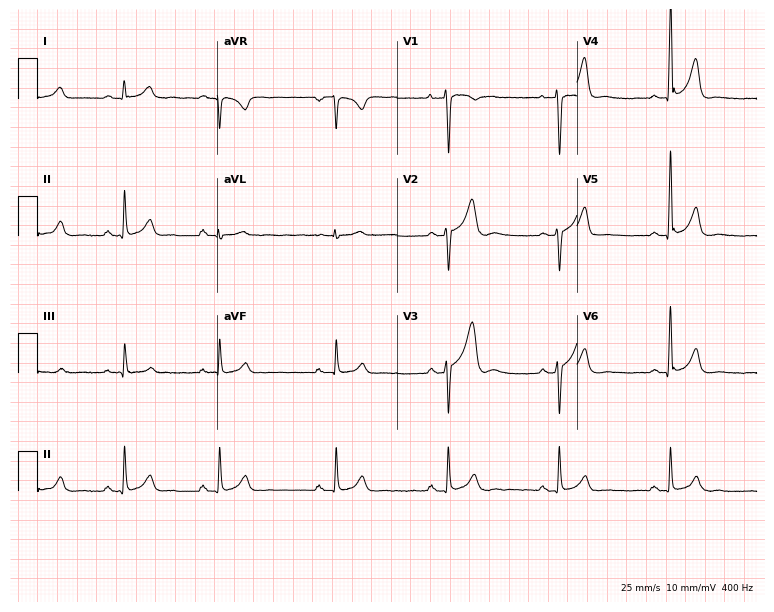
ECG — a 43-year-old male patient. Screened for six findings — first-degree AV block, right bundle branch block, left bundle branch block, sinus bradycardia, atrial fibrillation, sinus tachycardia — none is recorded. Only these six findings were labelled.